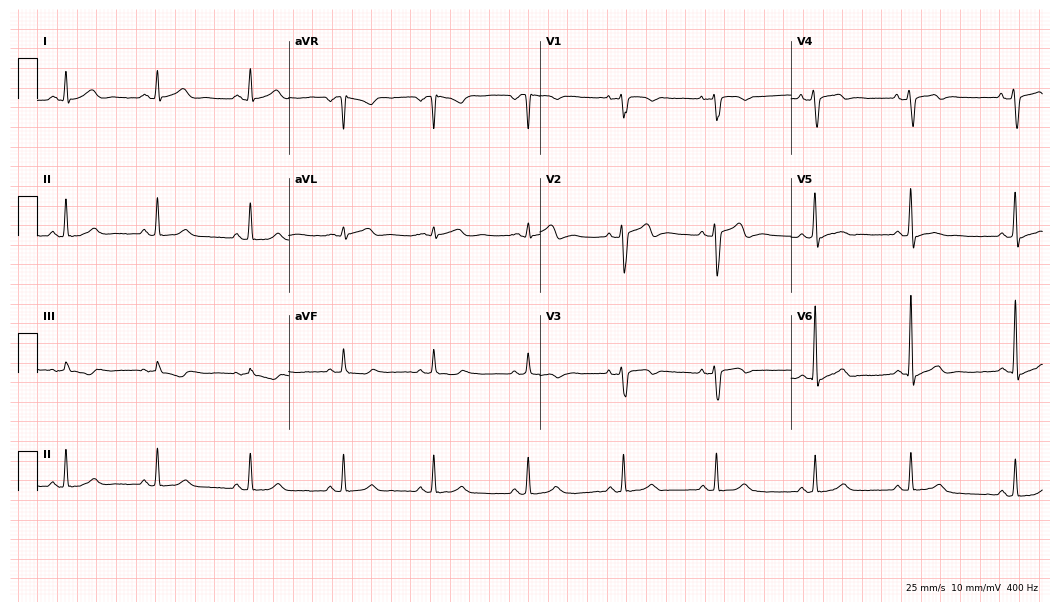
ECG (10.2-second recording at 400 Hz) — a man, 37 years old. Screened for six findings — first-degree AV block, right bundle branch block (RBBB), left bundle branch block (LBBB), sinus bradycardia, atrial fibrillation (AF), sinus tachycardia — none is recorded. Only these six findings were labelled.